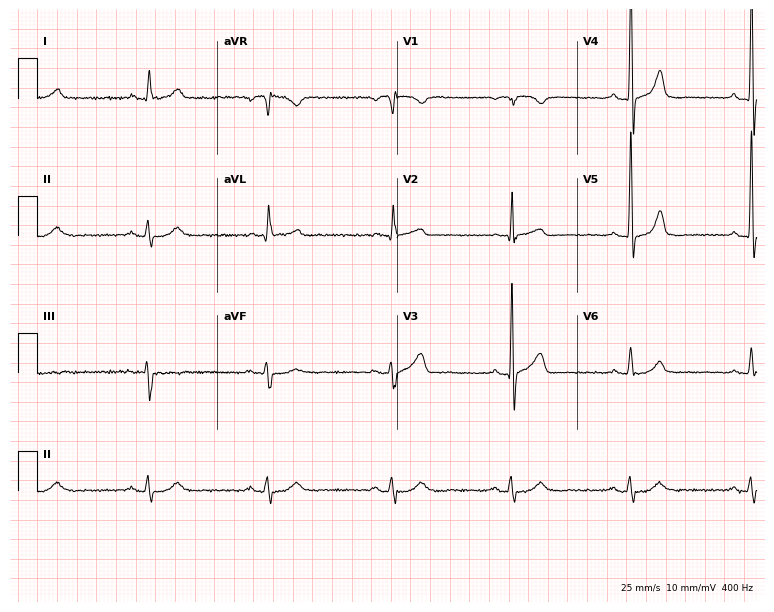
12-lead ECG (7.3-second recording at 400 Hz) from a man, 78 years old. Findings include sinus bradycardia (a sinus rate of 50 beats per minute or less).